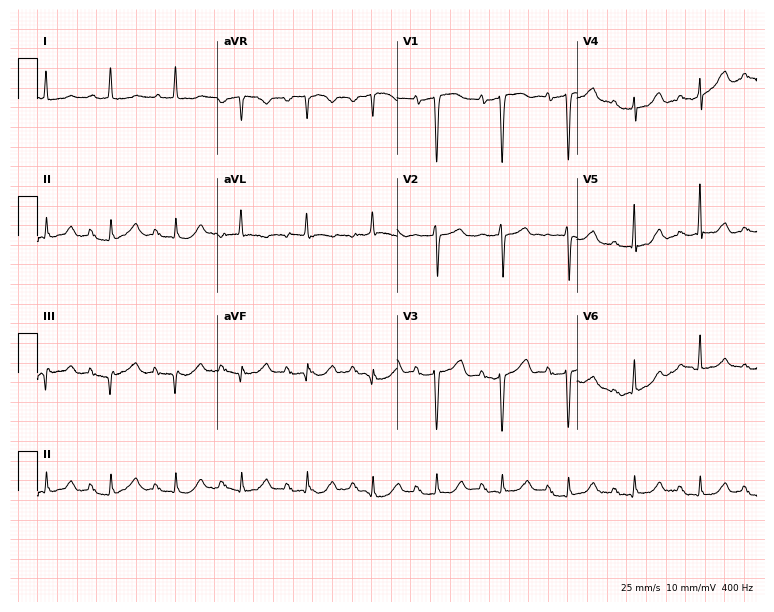
Electrocardiogram, a woman, 82 years old. Of the six screened findings (first-degree AV block, right bundle branch block (RBBB), left bundle branch block (LBBB), sinus bradycardia, atrial fibrillation (AF), sinus tachycardia), none is recorded.